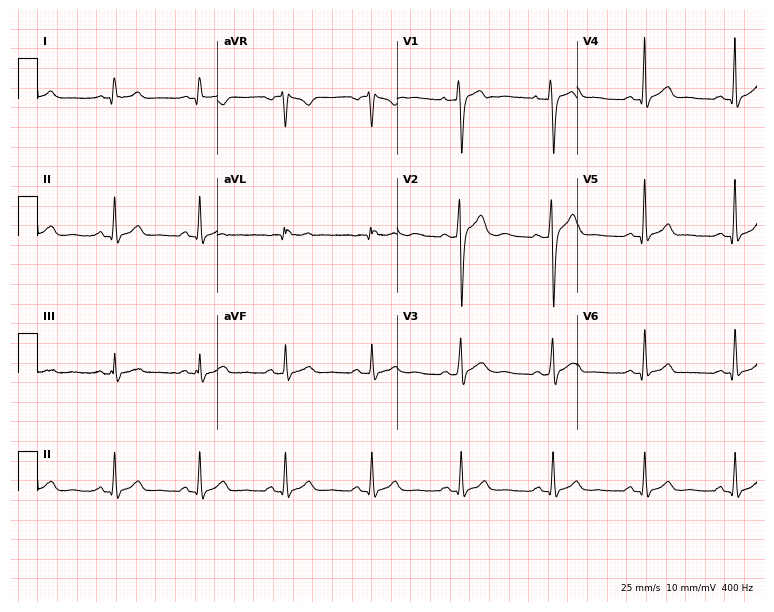
Electrocardiogram (7.3-second recording at 400 Hz), a male patient, 35 years old. Overall reading on record: normal ECG.